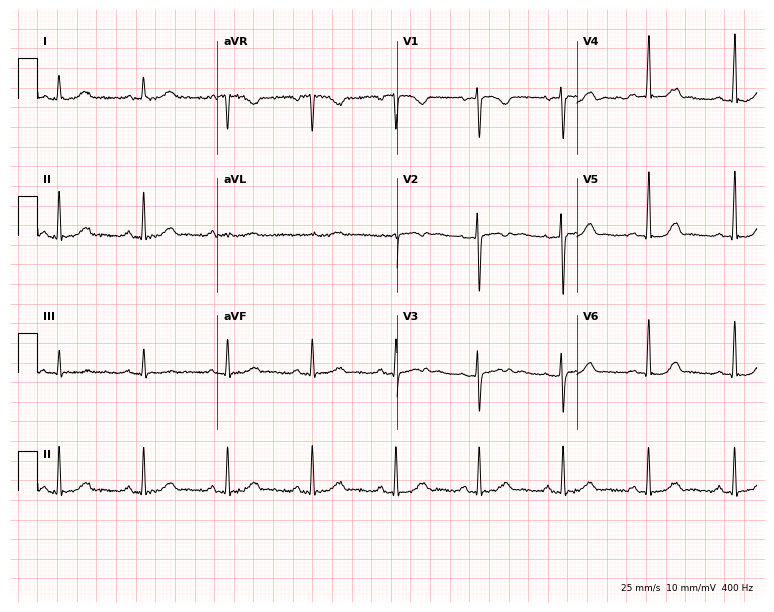
Electrocardiogram, a 27-year-old female. Overall reading on record: normal ECG.